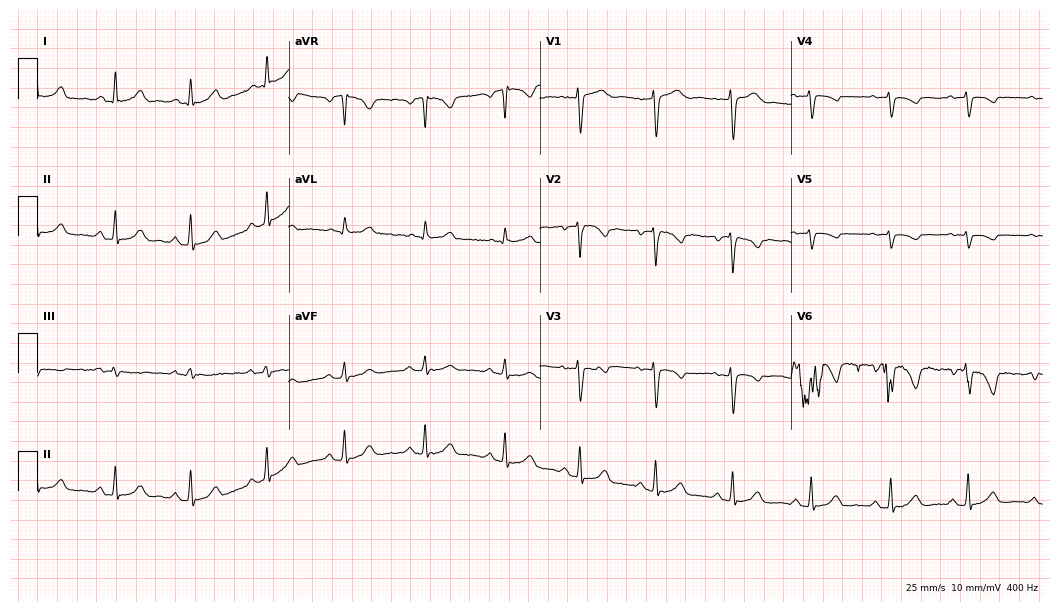
ECG — a 46-year-old woman. Screened for six findings — first-degree AV block, right bundle branch block (RBBB), left bundle branch block (LBBB), sinus bradycardia, atrial fibrillation (AF), sinus tachycardia — none is recorded. Only these six findings were labelled.